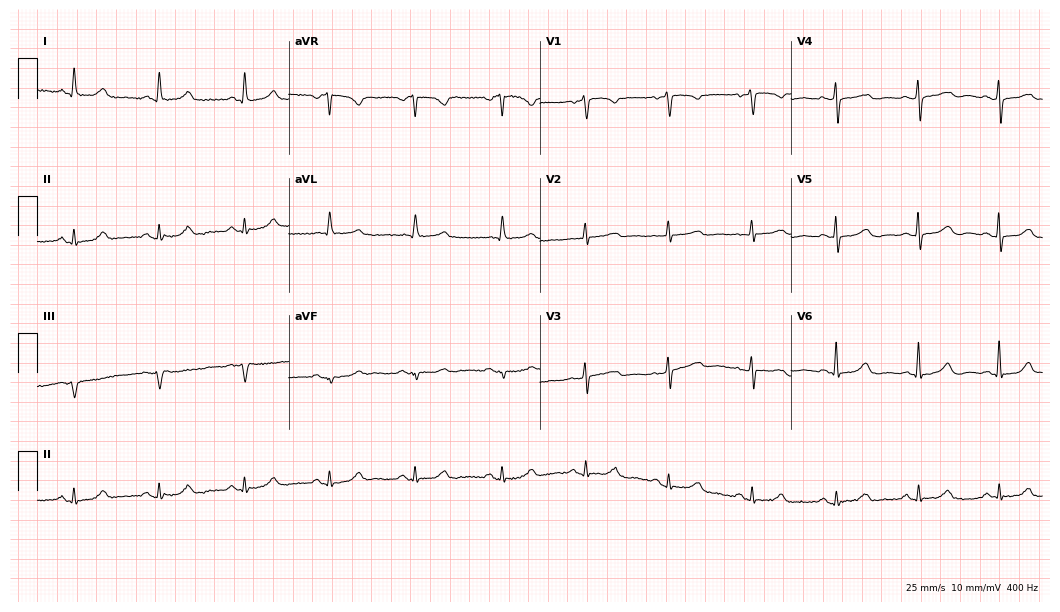
12-lead ECG (10.2-second recording at 400 Hz) from a 71-year-old female. Labelled as a normal ECG.